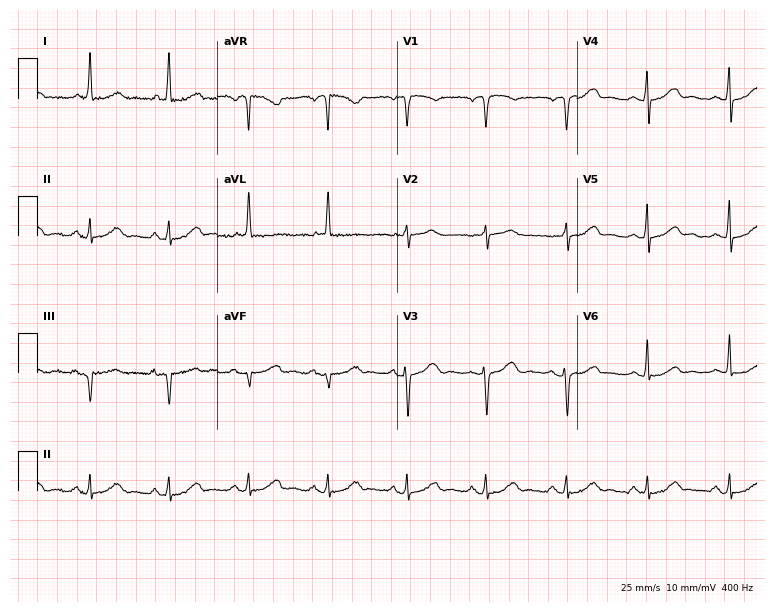
12-lead ECG (7.3-second recording at 400 Hz) from a female, 74 years old. Labelled as a normal ECG.